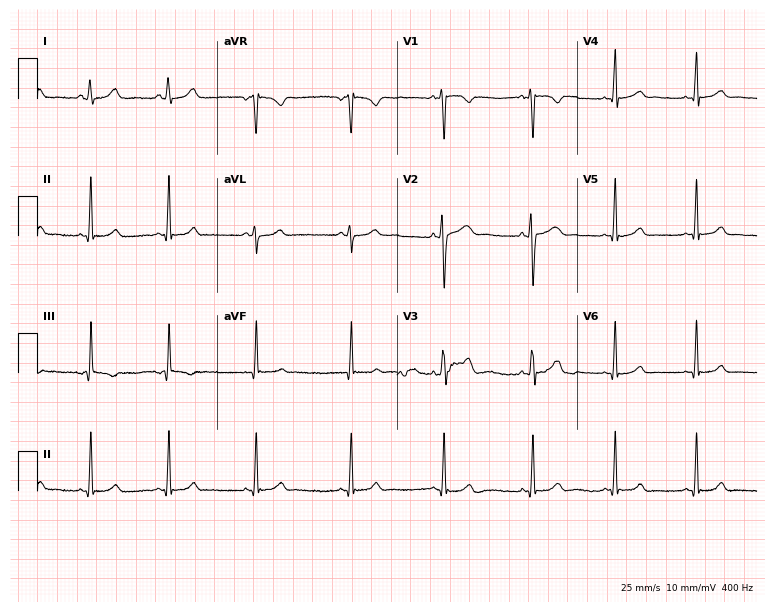
Standard 12-lead ECG recorded from a woman, 20 years old. Read as a normal ECG.